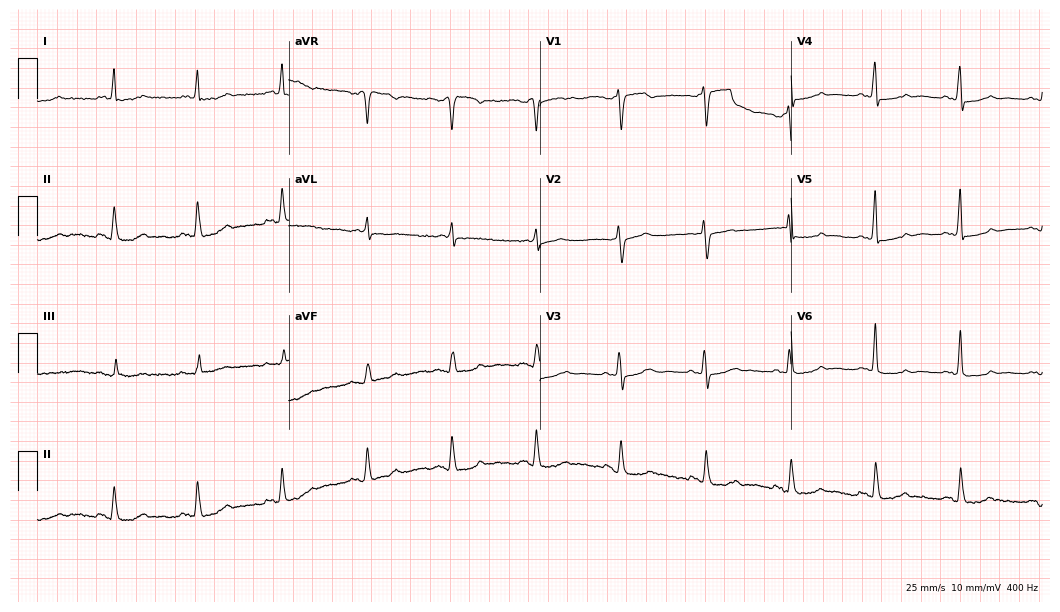
Electrocardiogram (10.2-second recording at 400 Hz), an 84-year-old woman. Overall reading on record: normal ECG.